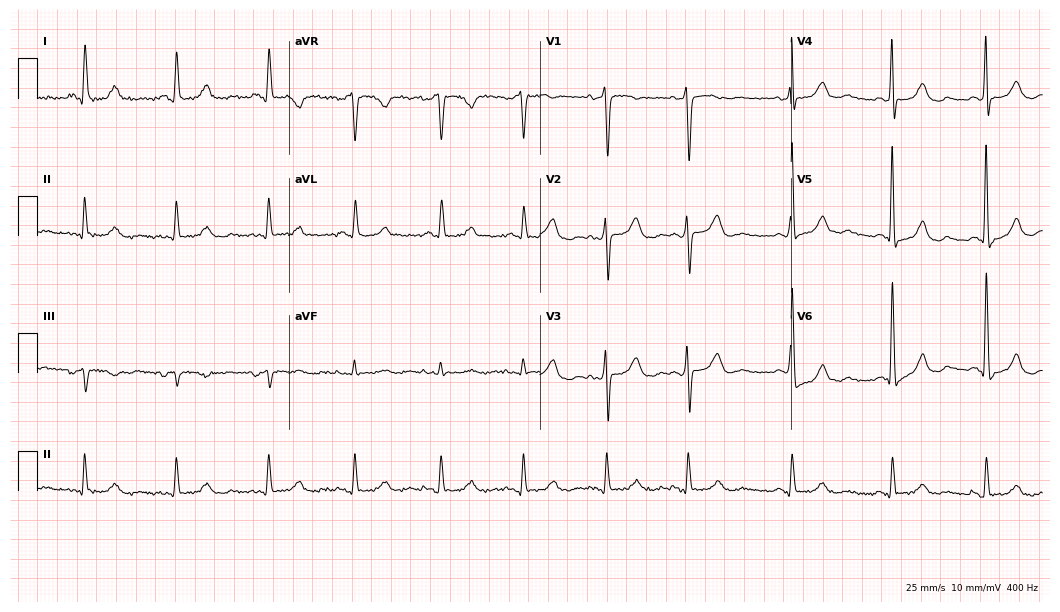
12-lead ECG from a 73-year-old female patient. Recorded interpretation: within normal limits.